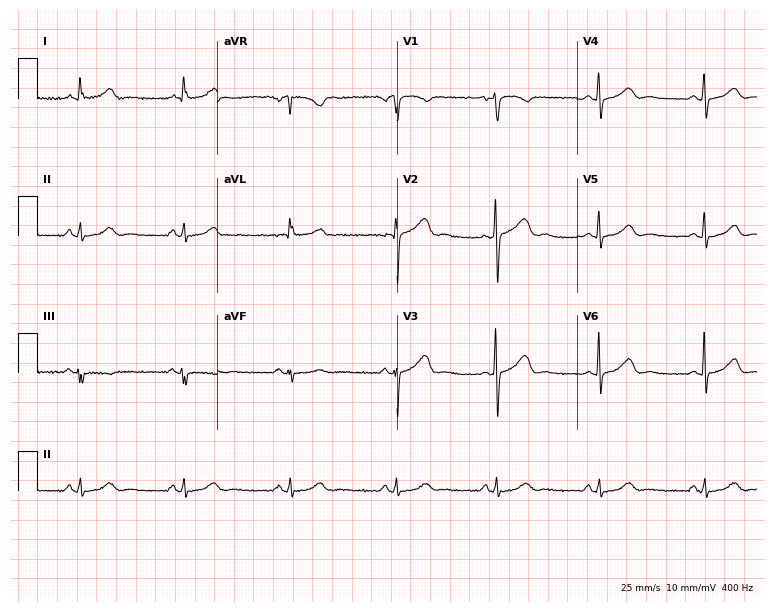
12-lead ECG from a female, 40 years old. Recorded interpretation: within normal limits.